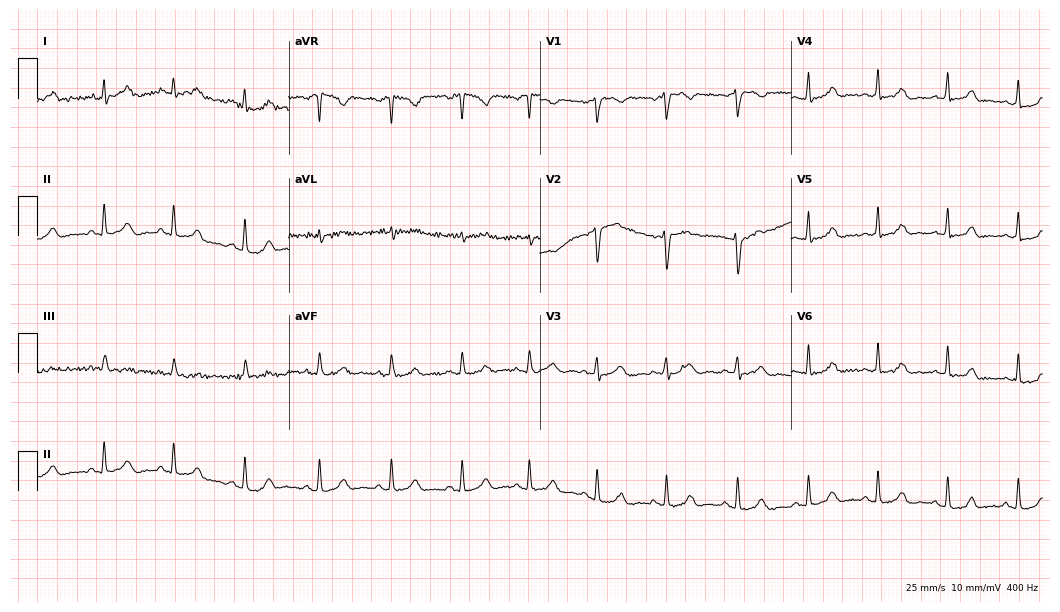
ECG (10.2-second recording at 400 Hz) — a female, 34 years old. Labelled as a normal ECG.